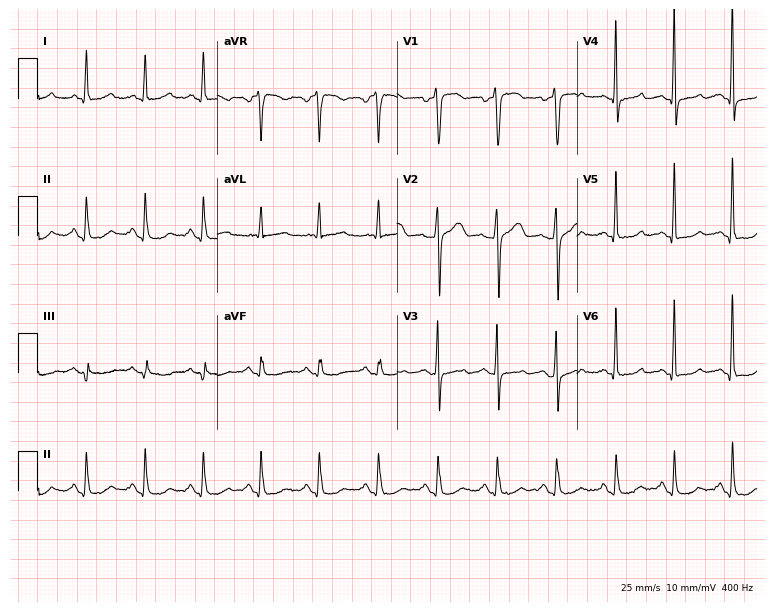
ECG (7.3-second recording at 400 Hz) — a woman, 42 years old. Findings include sinus tachycardia (a sinus rate of 100 beats per minute or more).